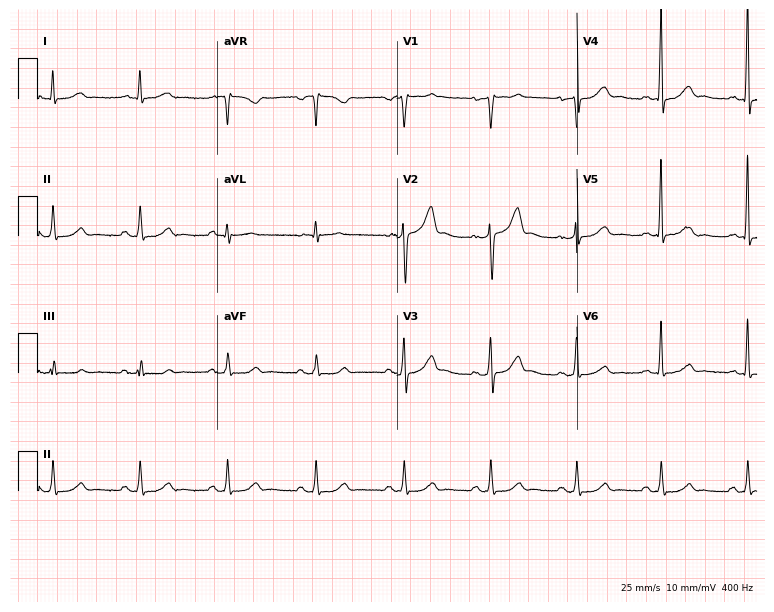
Electrocardiogram, a male, 67 years old. Overall reading on record: normal ECG.